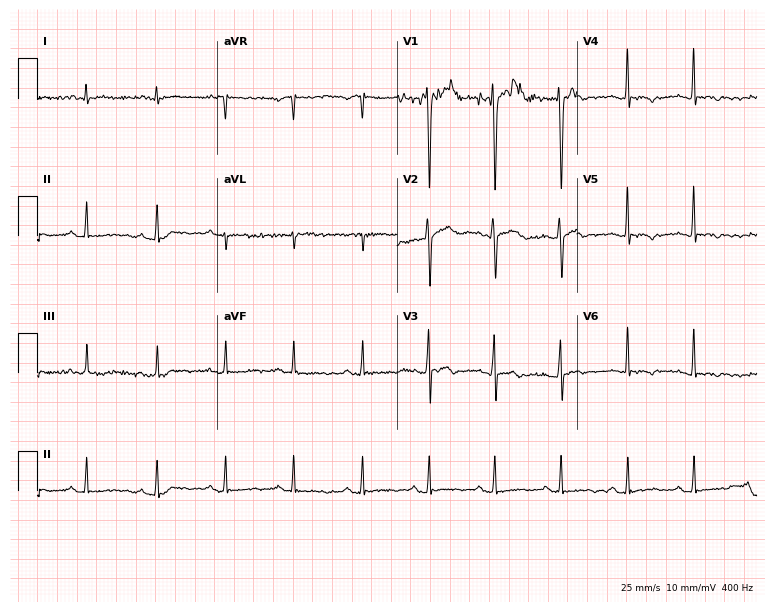
12-lead ECG from a male patient, 50 years old. No first-degree AV block, right bundle branch block (RBBB), left bundle branch block (LBBB), sinus bradycardia, atrial fibrillation (AF) or sinus tachycardia recorded for this tracing.